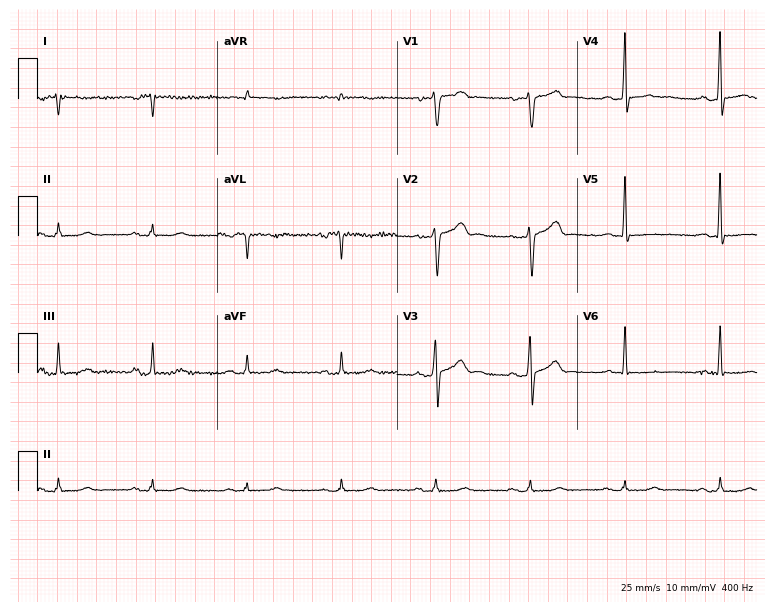
Electrocardiogram (7.3-second recording at 400 Hz), a 64-year-old man. Of the six screened findings (first-degree AV block, right bundle branch block, left bundle branch block, sinus bradycardia, atrial fibrillation, sinus tachycardia), none is recorded.